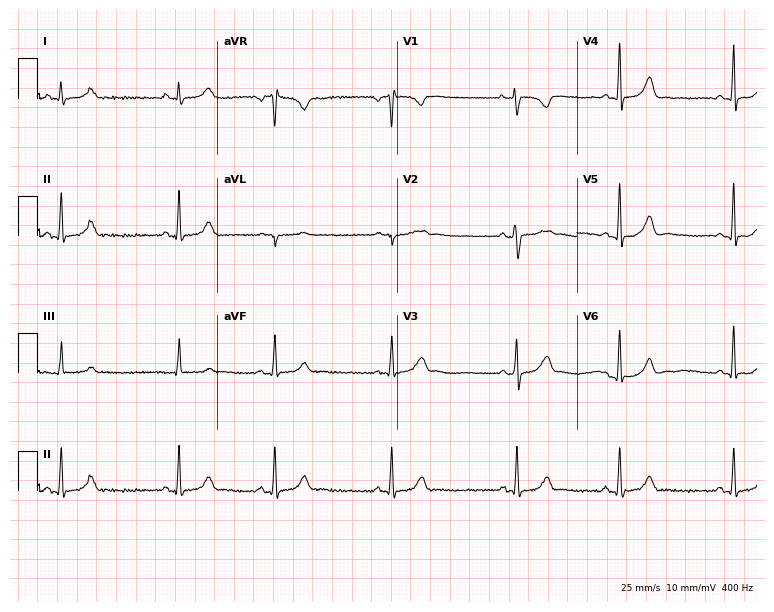
Standard 12-lead ECG recorded from a female, 23 years old. None of these six findings is recorded: first-degree AV block, right bundle branch block, left bundle branch block, sinus bradycardia, atrial fibrillation, sinus tachycardia. Only these six findings were labelled.